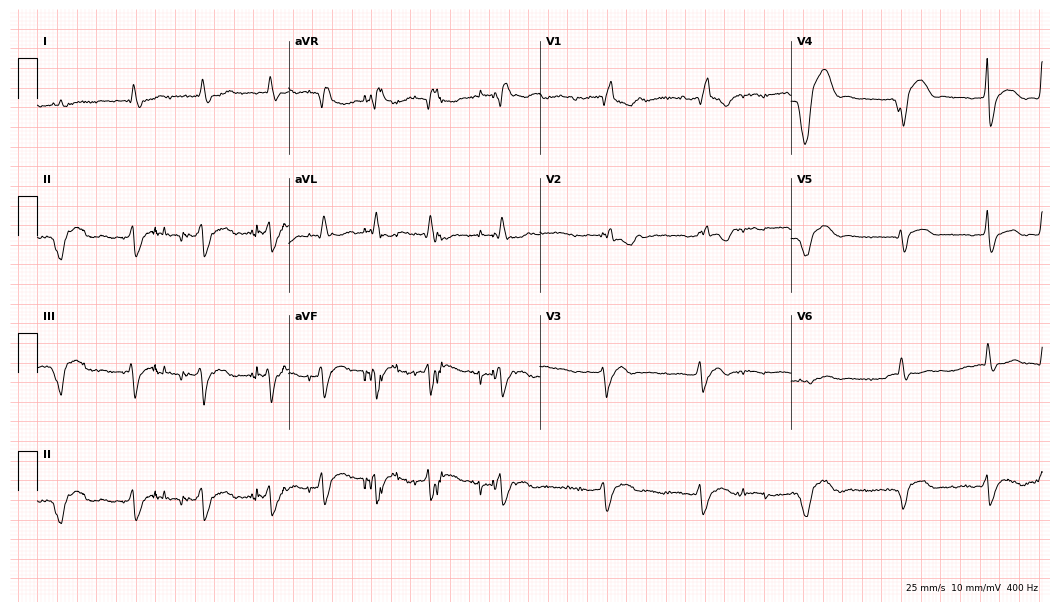
12-lead ECG from a 72-year-old female patient (10.2-second recording at 400 Hz). No first-degree AV block, right bundle branch block, left bundle branch block, sinus bradycardia, atrial fibrillation or sinus tachycardia recorded for this tracing.